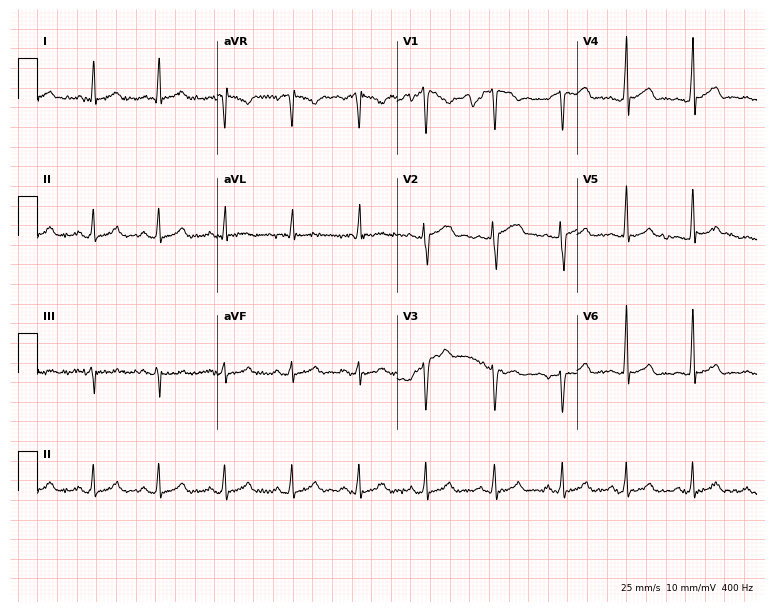
12-lead ECG from a male patient, 34 years old. No first-degree AV block, right bundle branch block (RBBB), left bundle branch block (LBBB), sinus bradycardia, atrial fibrillation (AF) or sinus tachycardia recorded for this tracing. Findings outside these six are not listed.